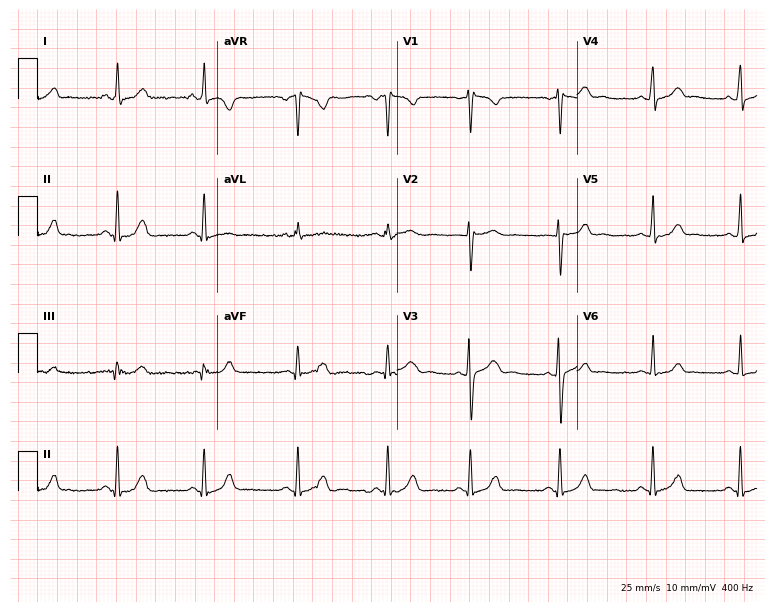
ECG (7.3-second recording at 400 Hz) — a female, 21 years old. Labelled as a normal ECG.